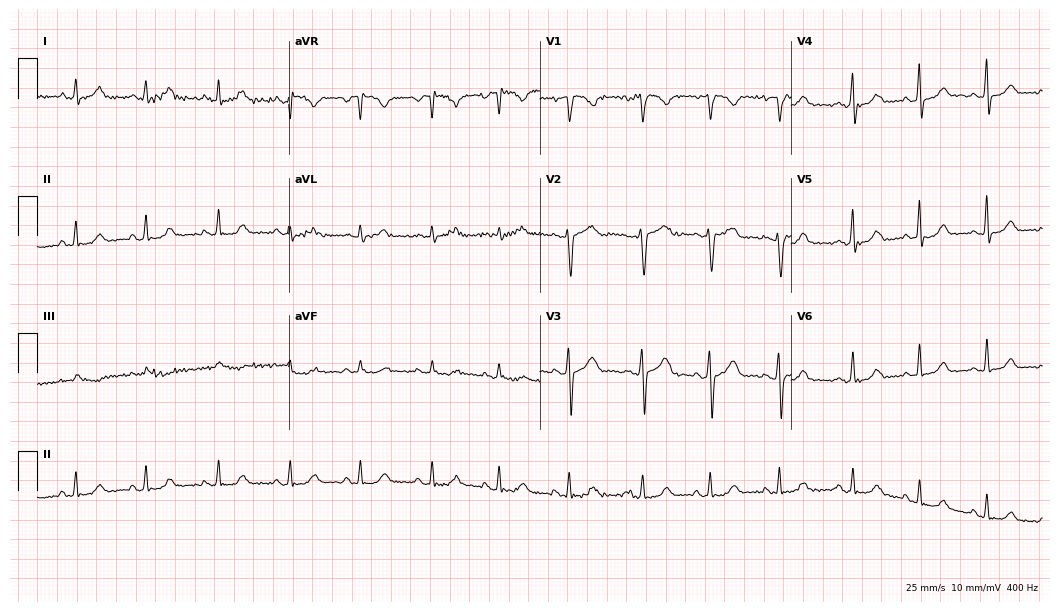
ECG — a female patient, 39 years old. Labelled as a normal ECG.